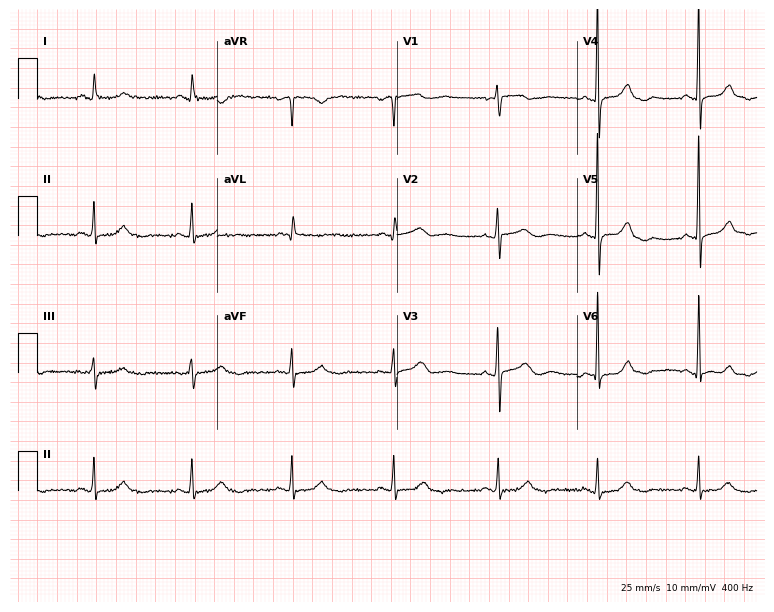
Standard 12-lead ECG recorded from a female patient, 74 years old (7.3-second recording at 400 Hz). None of these six findings is recorded: first-degree AV block, right bundle branch block, left bundle branch block, sinus bradycardia, atrial fibrillation, sinus tachycardia.